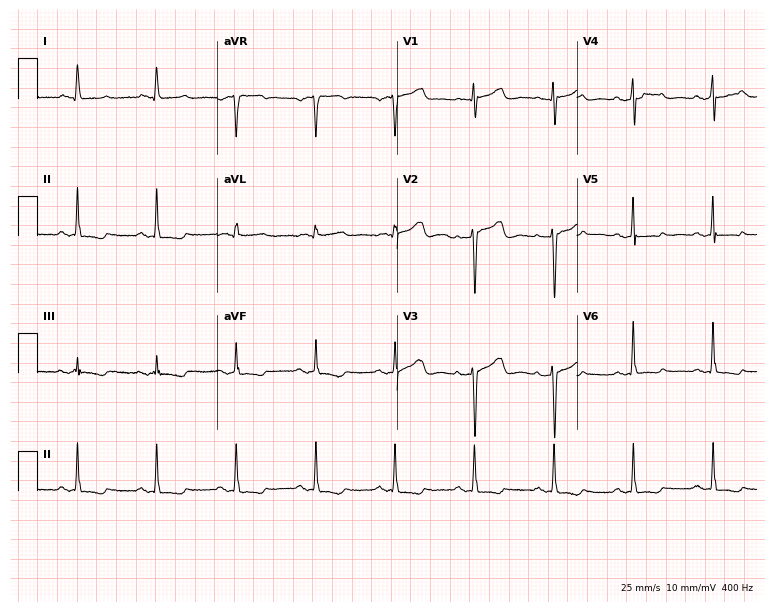
Resting 12-lead electrocardiogram (7.3-second recording at 400 Hz). Patient: a female, 78 years old. None of these six findings is recorded: first-degree AV block, right bundle branch block, left bundle branch block, sinus bradycardia, atrial fibrillation, sinus tachycardia.